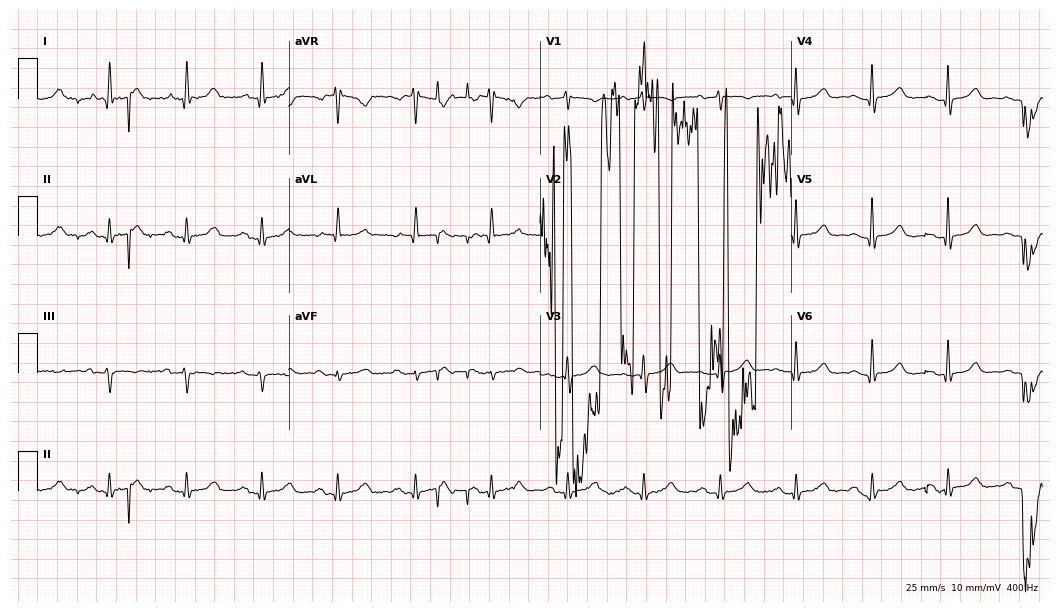
12-lead ECG from a woman, 80 years old. No first-degree AV block, right bundle branch block (RBBB), left bundle branch block (LBBB), sinus bradycardia, atrial fibrillation (AF) or sinus tachycardia recorded for this tracing.